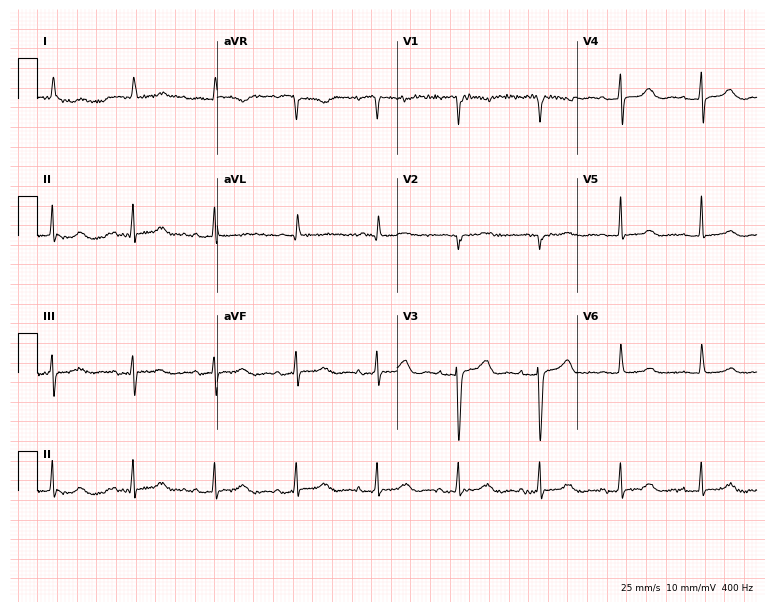
ECG (7.3-second recording at 400 Hz) — a woman, 76 years old. Screened for six findings — first-degree AV block, right bundle branch block, left bundle branch block, sinus bradycardia, atrial fibrillation, sinus tachycardia — none is recorded. Findings outside these six are not listed.